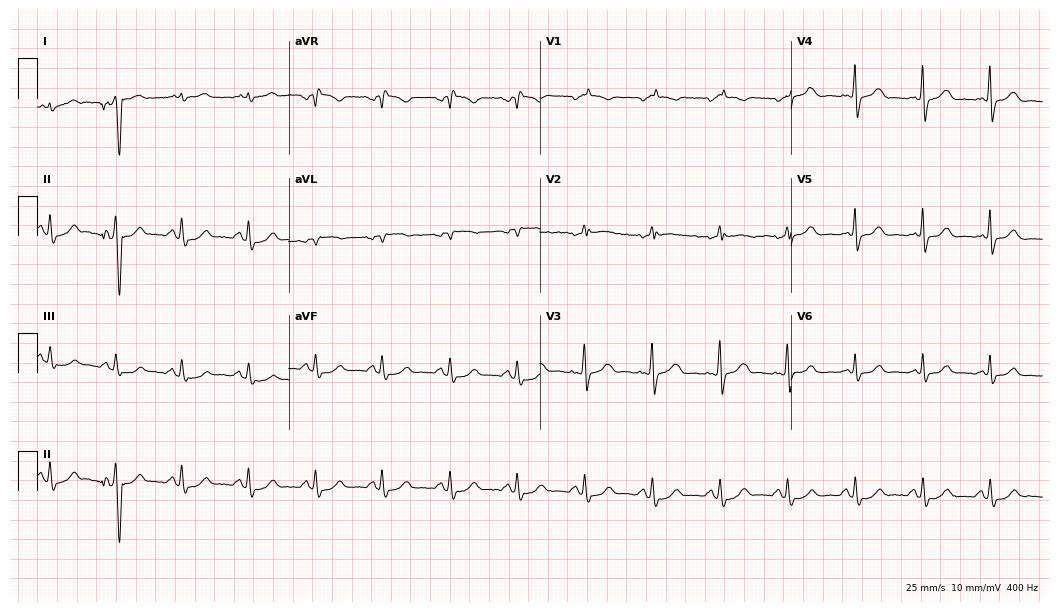
ECG — a male, 76 years old. Labelled as a normal ECG.